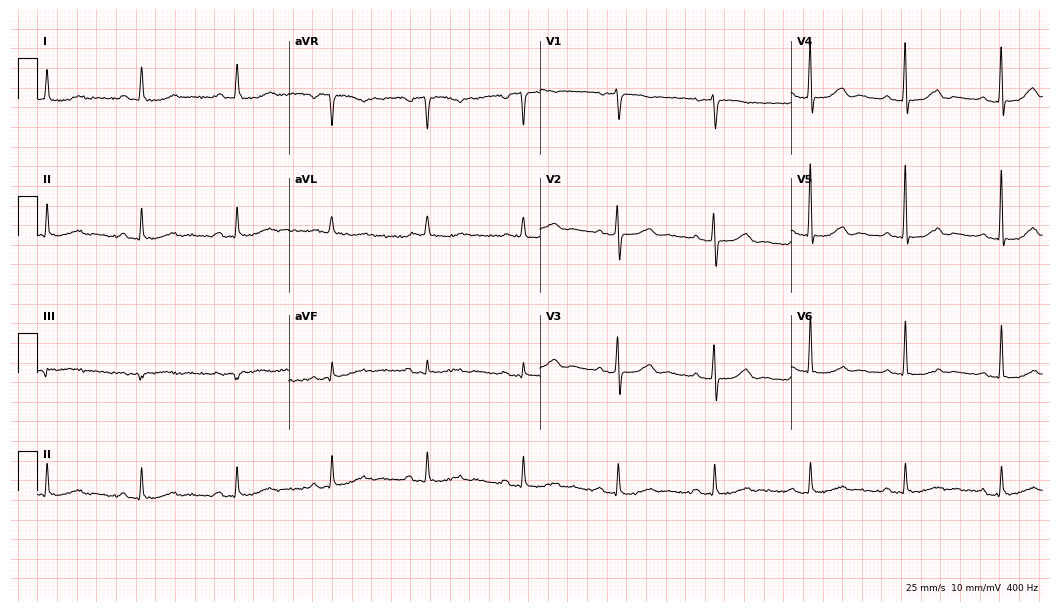
Standard 12-lead ECG recorded from a woman, 78 years old (10.2-second recording at 400 Hz). The tracing shows first-degree AV block.